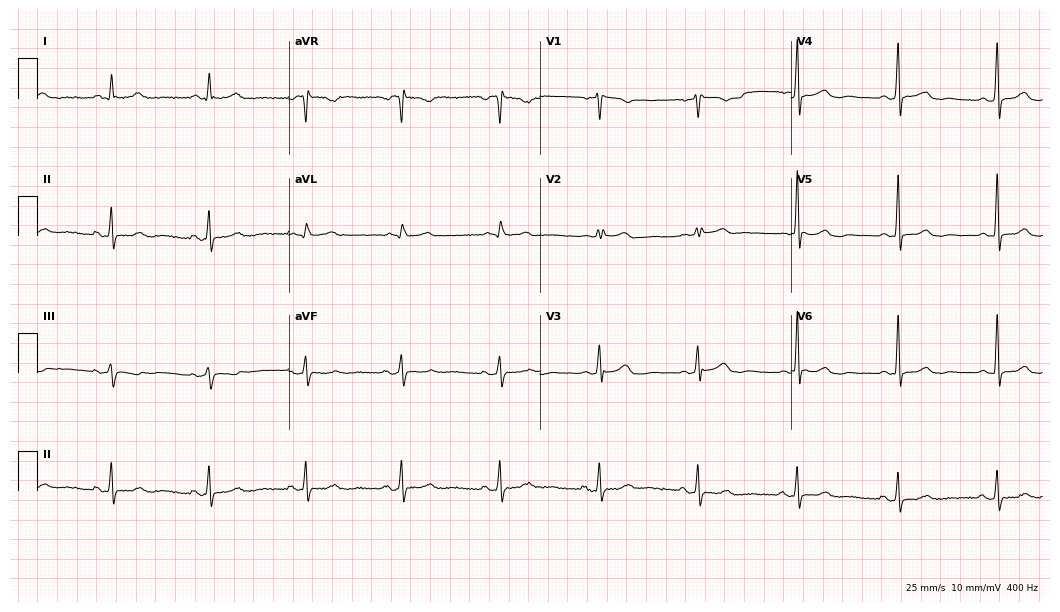
12-lead ECG from a 60-year-old female. No first-degree AV block, right bundle branch block, left bundle branch block, sinus bradycardia, atrial fibrillation or sinus tachycardia recorded for this tracing.